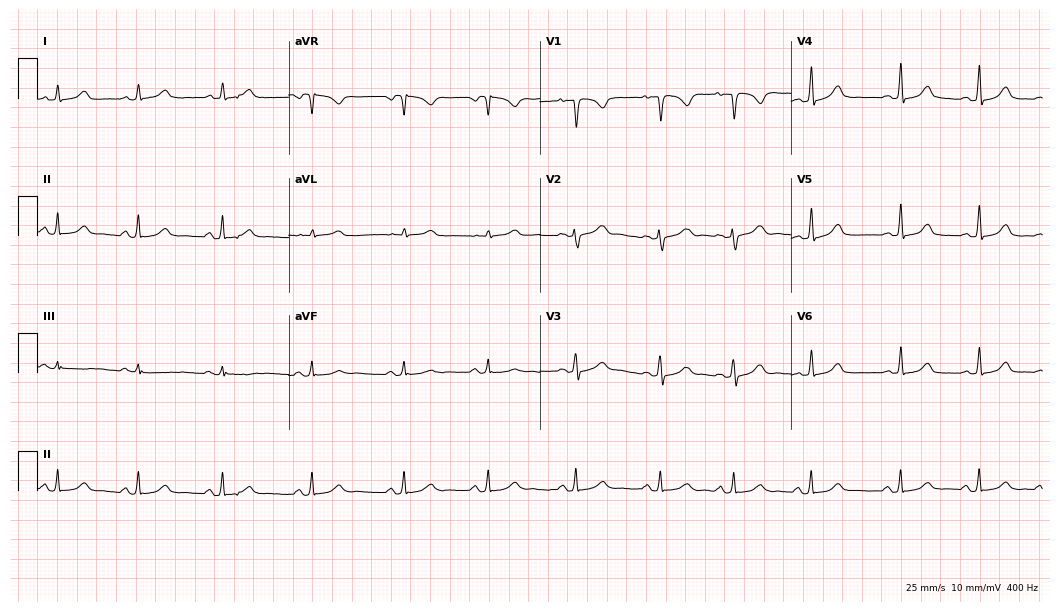
Resting 12-lead electrocardiogram (10.2-second recording at 400 Hz). Patient: a 24-year-old woman. None of these six findings is recorded: first-degree AV block, right bundle branch block, left bundle branch block, sinus bradycardia, atrial fibrillation, sinus tachycardia.